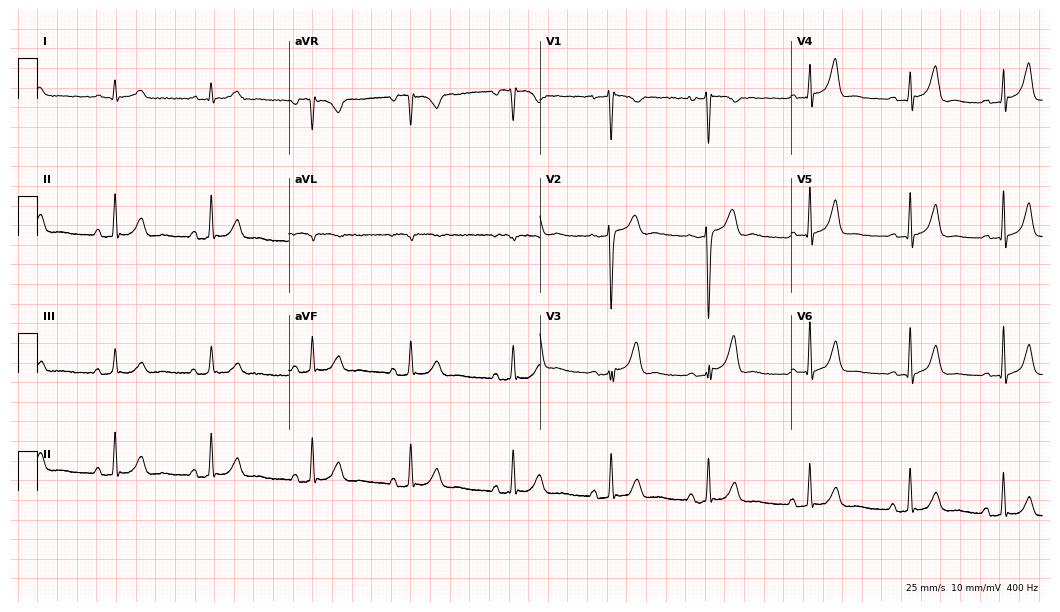
12-lead ECG from a man, 33 years old. Labelled as a normal ECG.